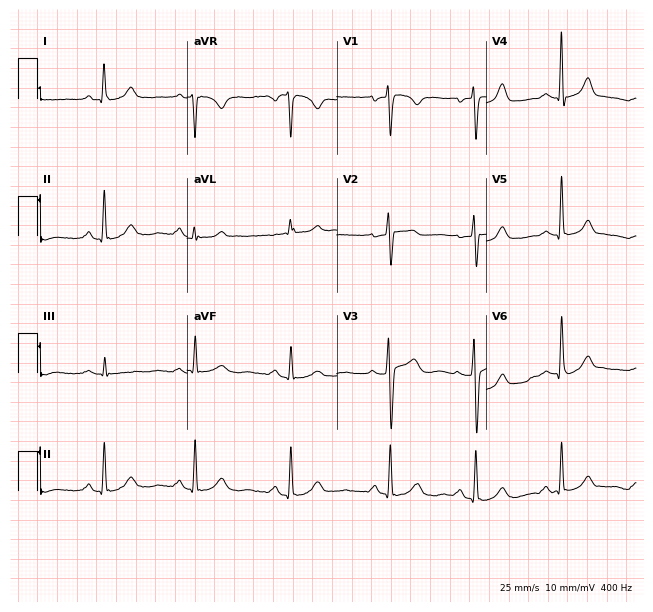
Resting 12-lead electrocardiogram (6.1-second recording at 400 Hz). Patient: a female, 51 years old. Read as a normal ECG.